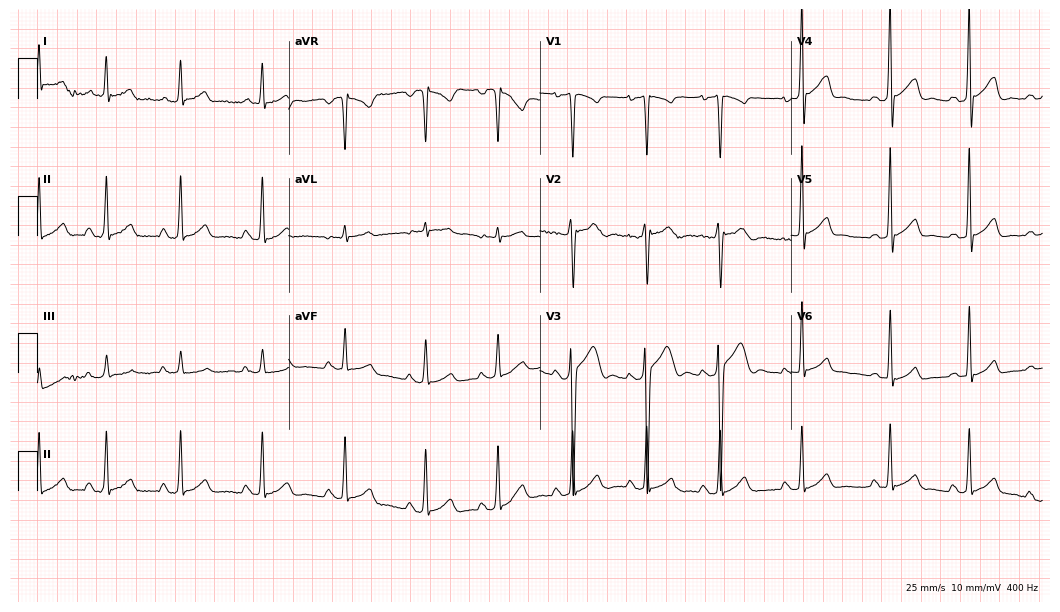
12-lead ECG from an 18-year-old male. Recorded interpretation: within normal limits.